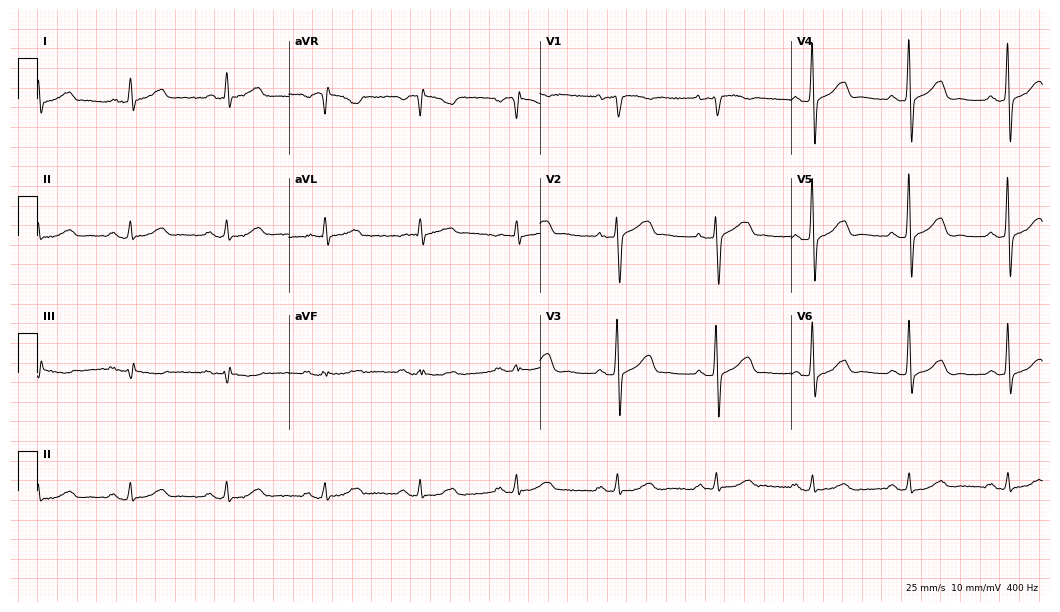
Resting 12-lead electrocardiogram (10.2-second recording at 400 Hz). Patient: a male, 59 years old. Read as a normal ECG.